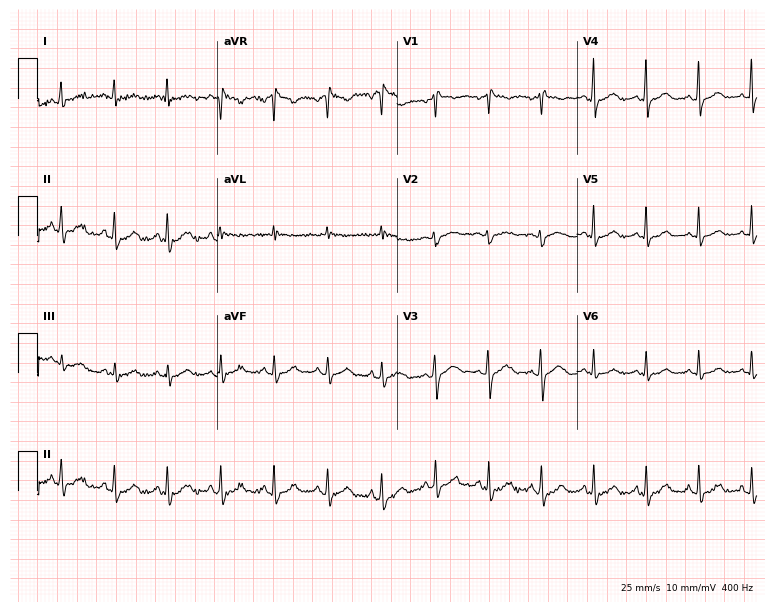
Resting 12-lead electrocardiogram. Patient: a 41-year-old female. The tracing shows sinus tachycardia (a sinus rate of 100 beats per minute or more).